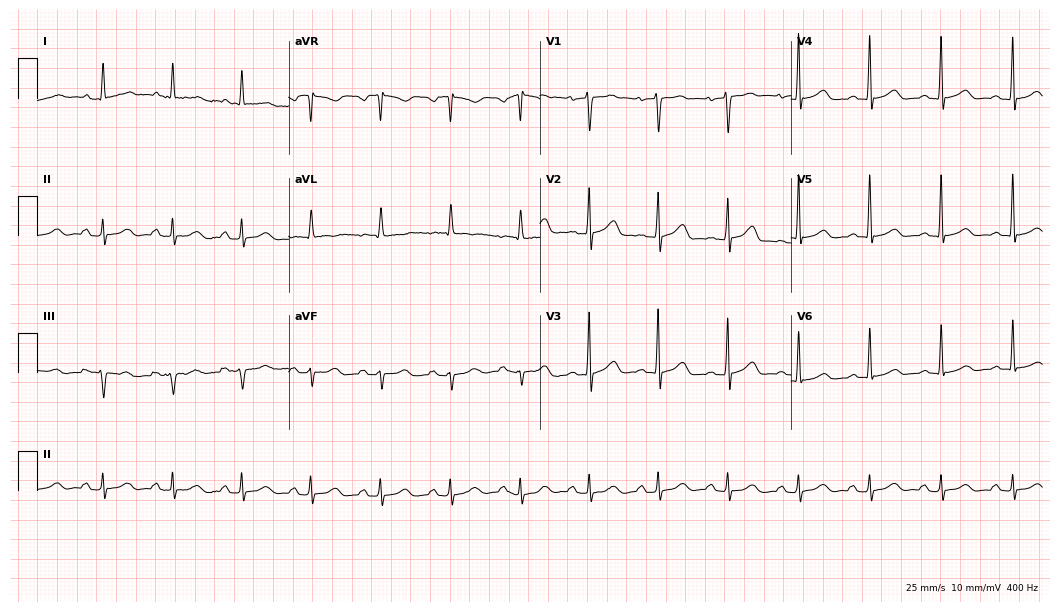
12-lead ECG from a female patient, 70 years old (10.2-second recording at 400 Hz). Recorded interpretation: within normal limits.